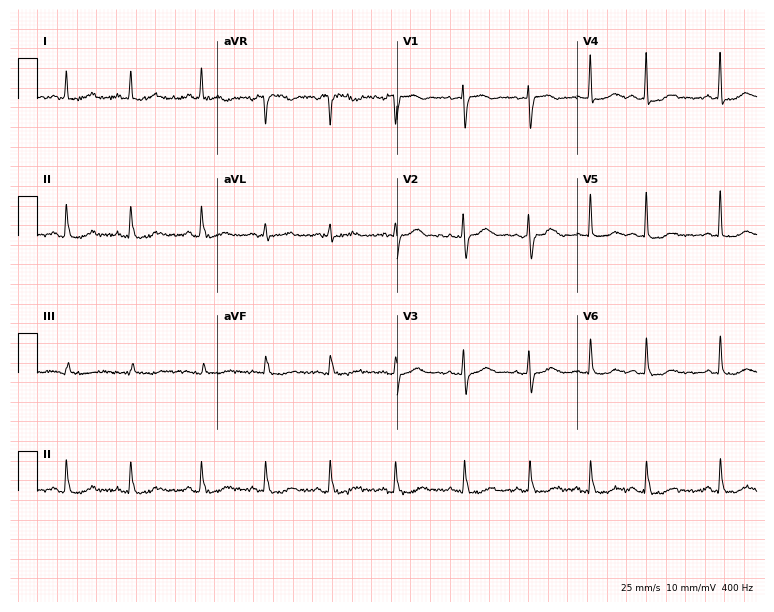
Standard 12-lead ECG recorded from a 73-year-old female patient (7.3-second recording at 400 Hz). None of these six findings is recorded: first-degree AV block, right bundle branch block (RBBB), left bundle branch block (LBBB), sinus bradycardia, atrial fibrillation (AF), sinus tachycardia.